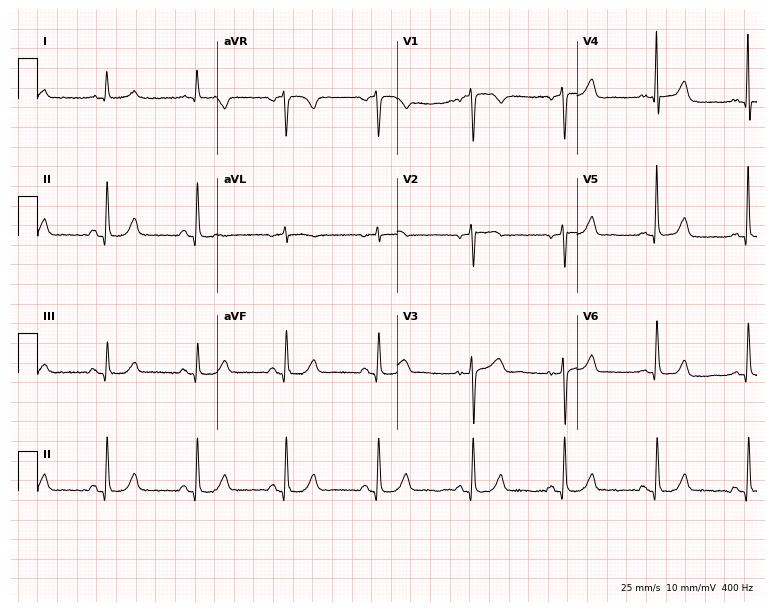
12-lead ECG from a 70-year-old female (7.3-second recording at 400 Hz). Recorded interpretation: within normal limits.